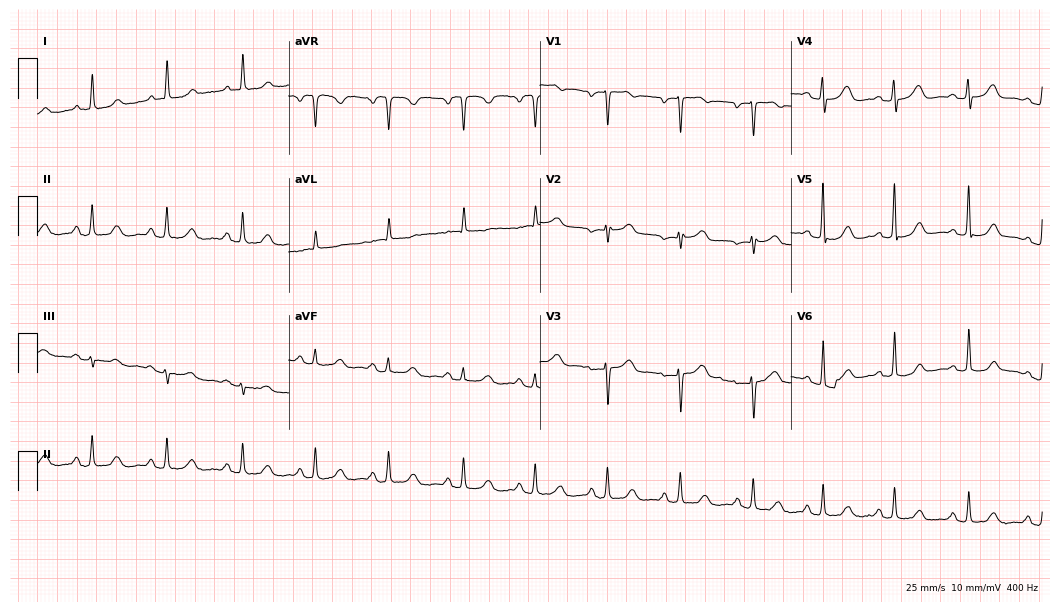
Resting 12-lead electrocardiogram. Patient: a woman, 62 years old. None of these six findings is recorded: first-degree AV block, right bundle branch block, left bundle branch block, sinus bradycardia, atrial fibrillation, sinus tachycardia.